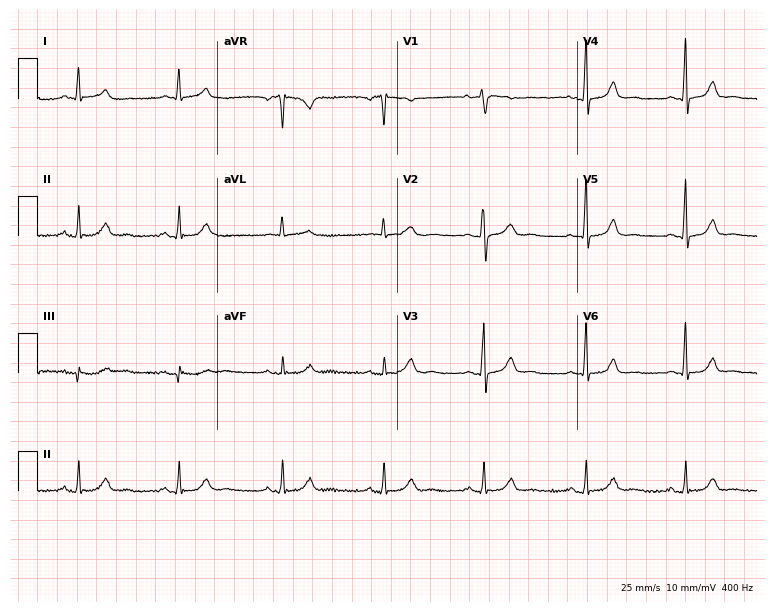
Standard 12-lead ECG recorded from a 69-year-old female. Read as a normal ECG.